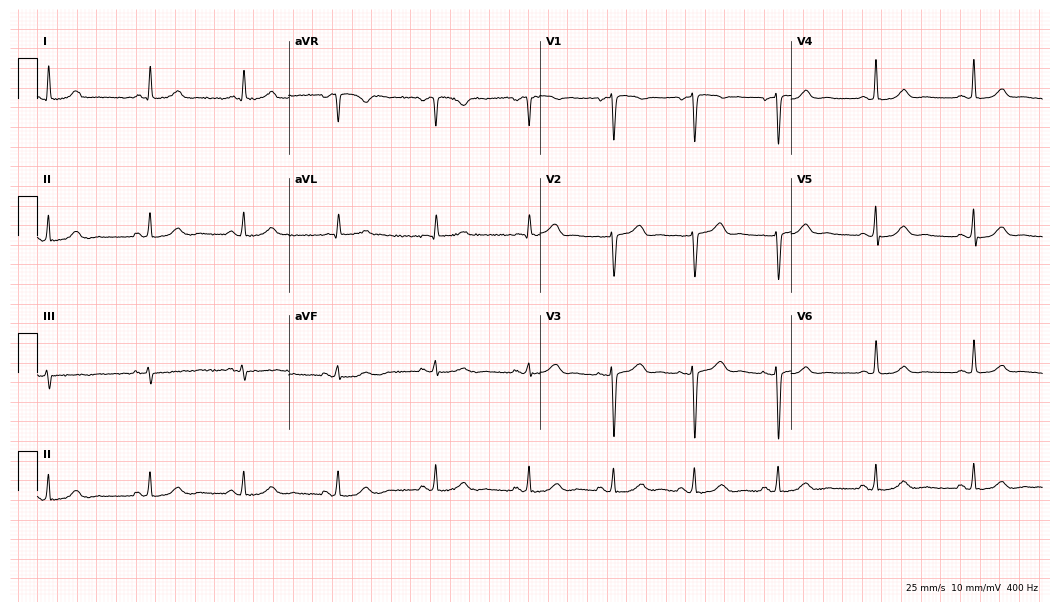
ECG — a female patient, 41 years old. Screened for six findings — first-degree AV block, right bundle branch block, left bundle branch block, sinus bradycardia, atrial fibrillation, sinus tachycardia — none is recorded.